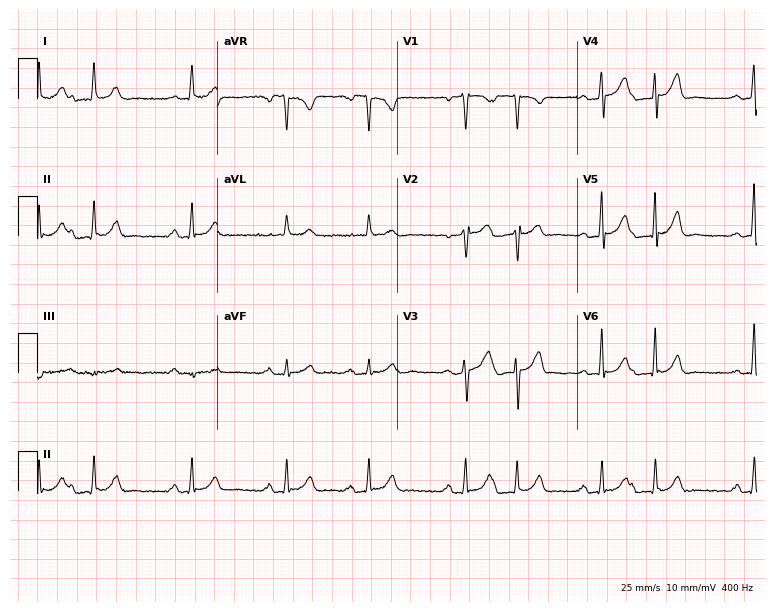
Electrocardiogram (7.3-second recording at 400 Hz), a man, 65 years old. Of the six screened findings (first-degree AV block, right bundle branch block, left bundle branch block, sinus bradycardia, atrial fibrillation, sinus tachycardia), none is recorded. Only these six findings were labelled.